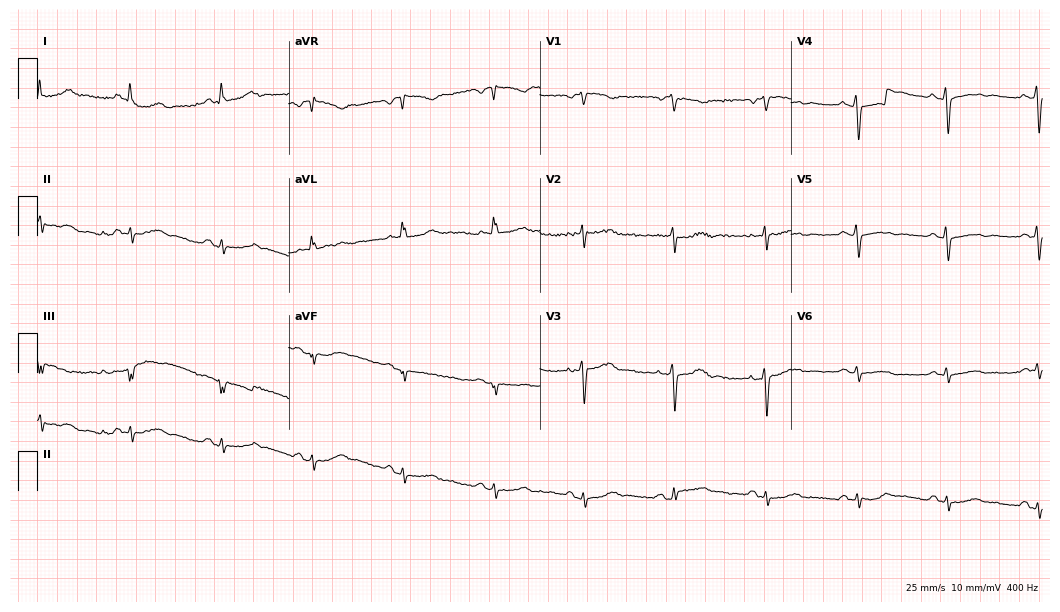
ECG — a 48-year-old female. Screened for six findings — first-degree AV block, right bundle branch block, left bundle branch block, sinus bradycardia, atrial fibrillation, sinus tachycardia — none is recorded.